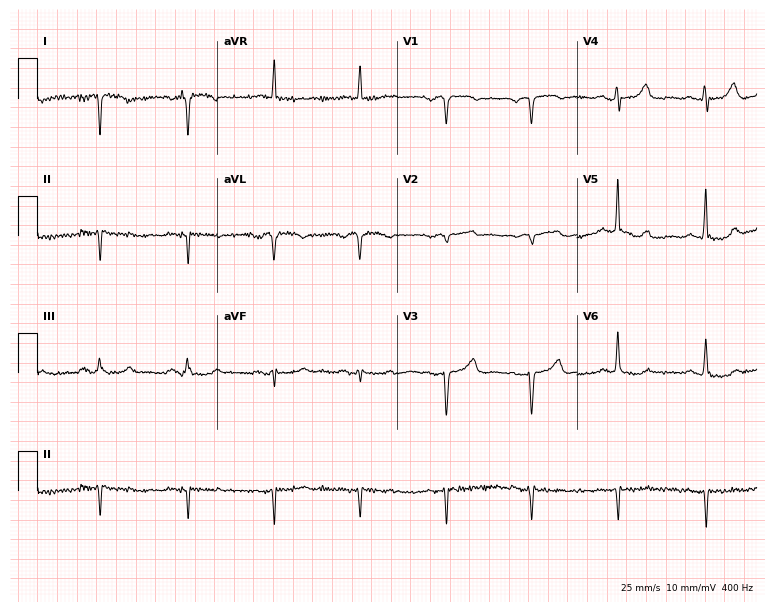
Standard 12-lead ECG recorded from a 70-year-old female (7.3-second recording at 400 Hz). None of these six findings is recorded: first-degree AV block, right bundle branch block, left bundle branch block, sinus bradycardia, atrial fibrillation, sinus tachycardia. Findings outside these six are not listed.